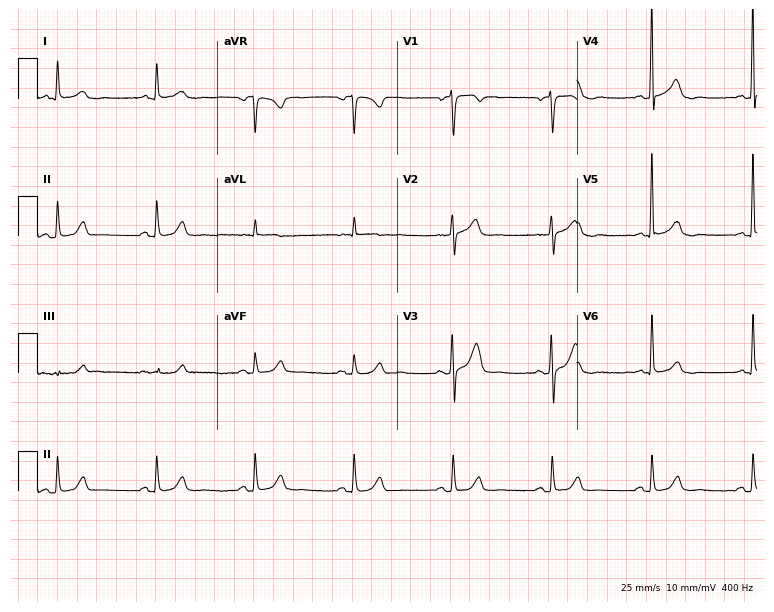
ECG (7.3-second recording at 400 Hz) — a 77-year-old man. Labelled as a normal ECG.